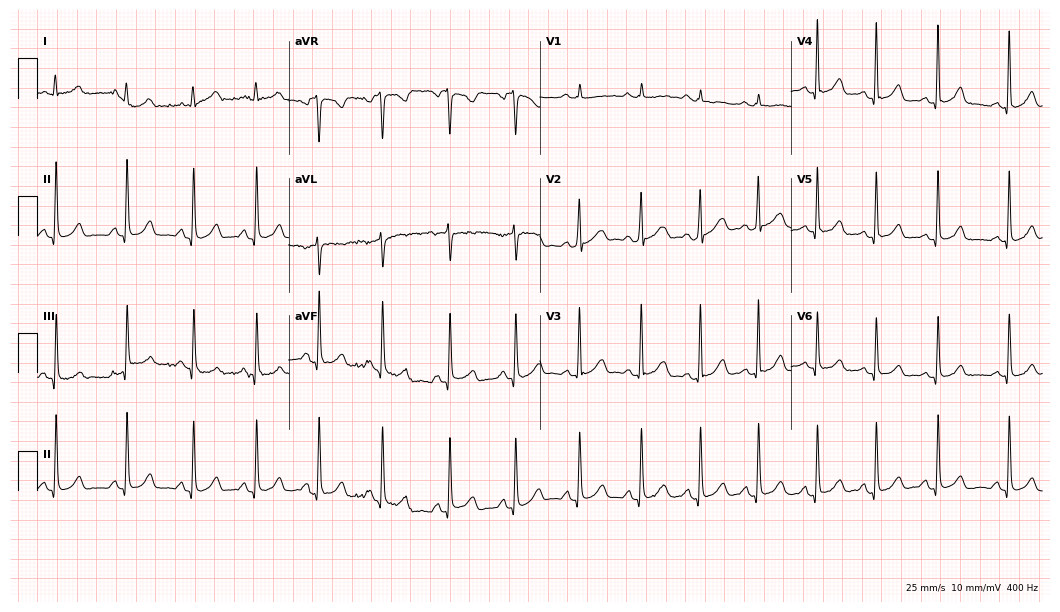
ECG (10.2-second recording at 400 Hz) — a 30-year-old female. Screened for six findings — first-degree AV block, right bundle branch block, left bundle branch block, sinus bradycardia, atrial fibrillation, sinus tachycardia — none is recorded. Only these six findings were labelled.